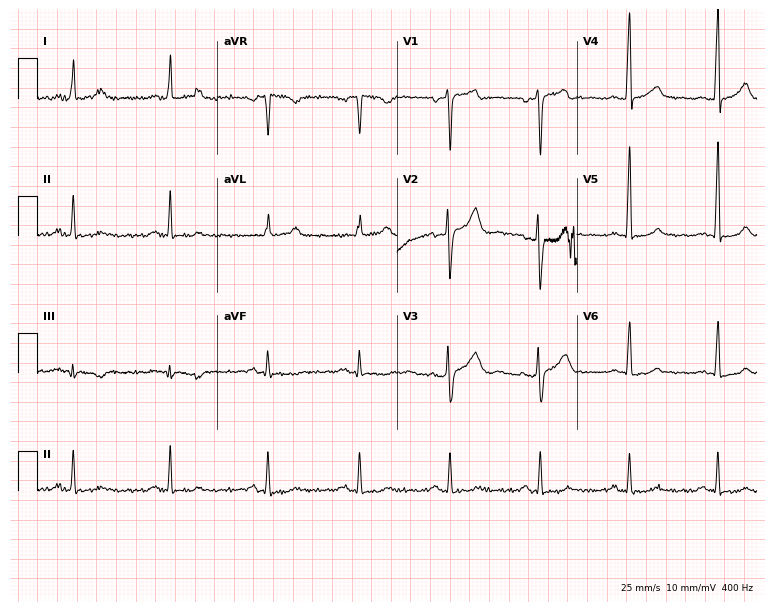
12-lead ECG from a male patient, 46 years old. No first-degree AV block, right bundle branch block, left bundle branch block, sinus bradycardia, atrial fibrillation or sinus tachycardia recorded for this tracing.